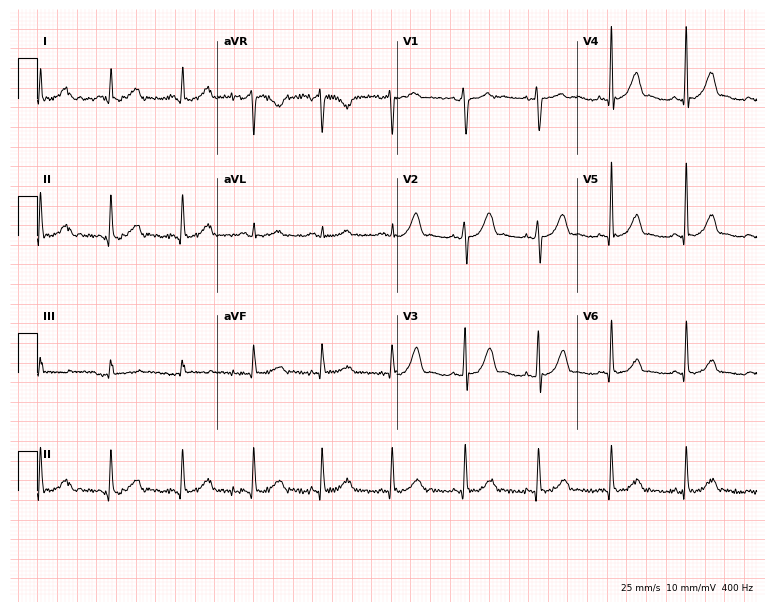
ECG — a 46-year-old woman. Labelled as a normal ECG.